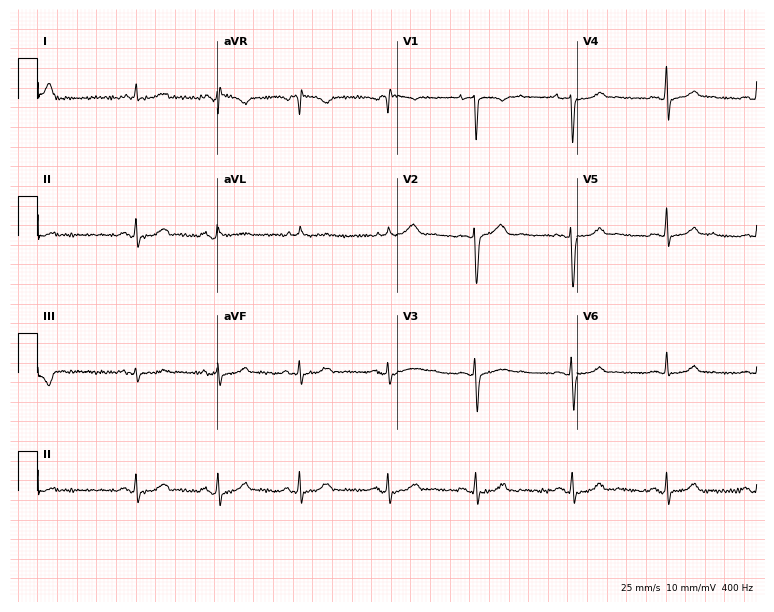
Standard 12-lead ECG recorded from a 26-year-old female patient. Read as a normal ECG.